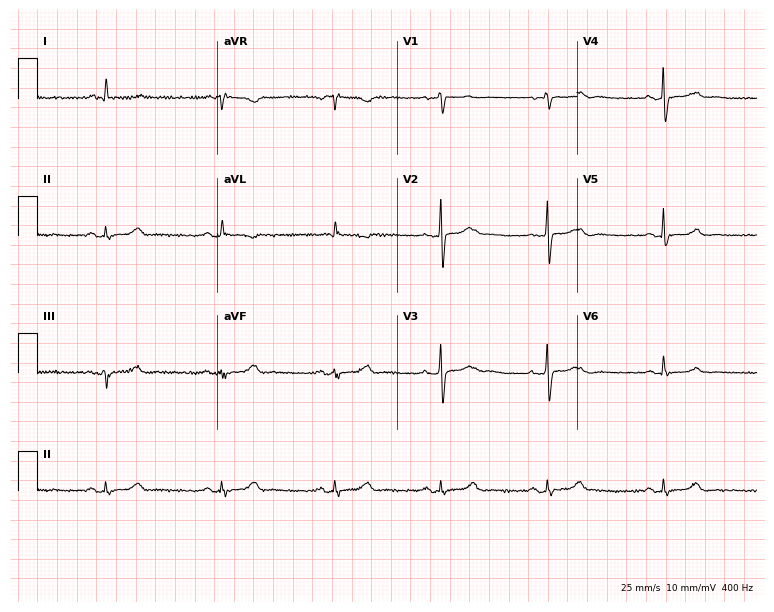
Electrocardiogram, a 63-year-old female patient. Overall reading on record: normal ECG.